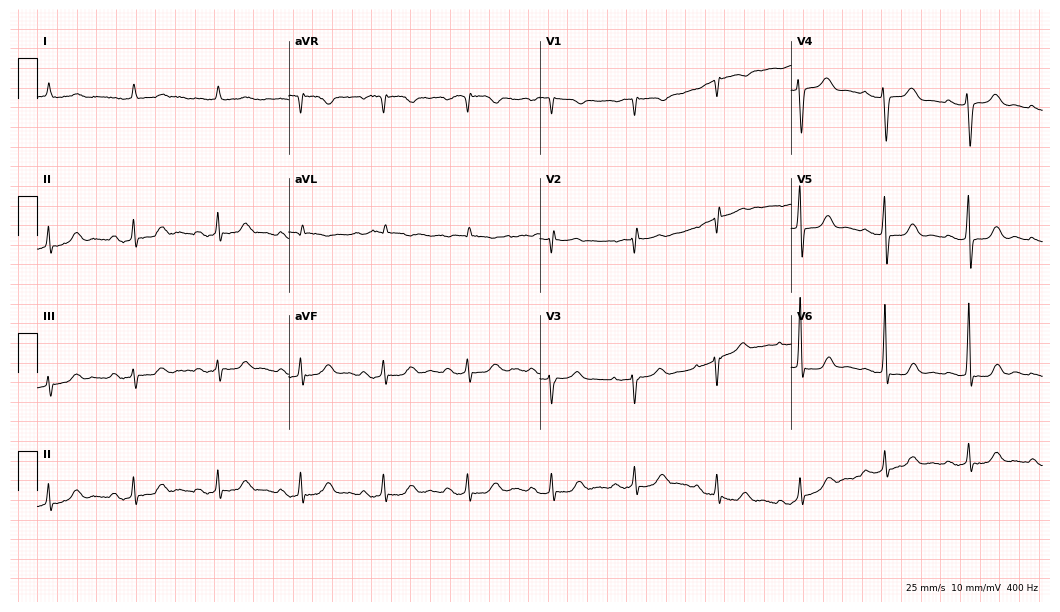
12-lead ECG from a 76-year-old female. No first-degree AV block, right bundle branch block, left bundle branch block, sinus bradycardia, atrial fibrillation or sinus tachycardia recorded for this tracing.